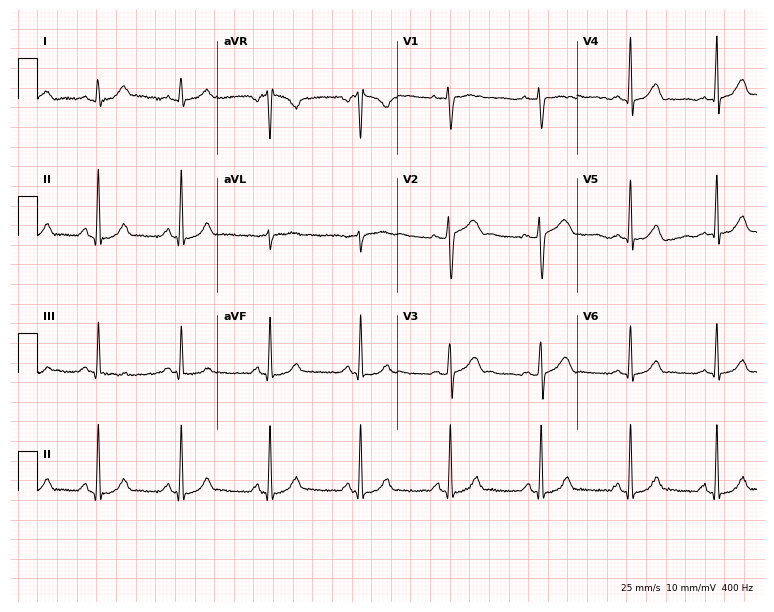
Electrocardiogram, a woman, 28 years old. Overall reading on record: normal ECG.